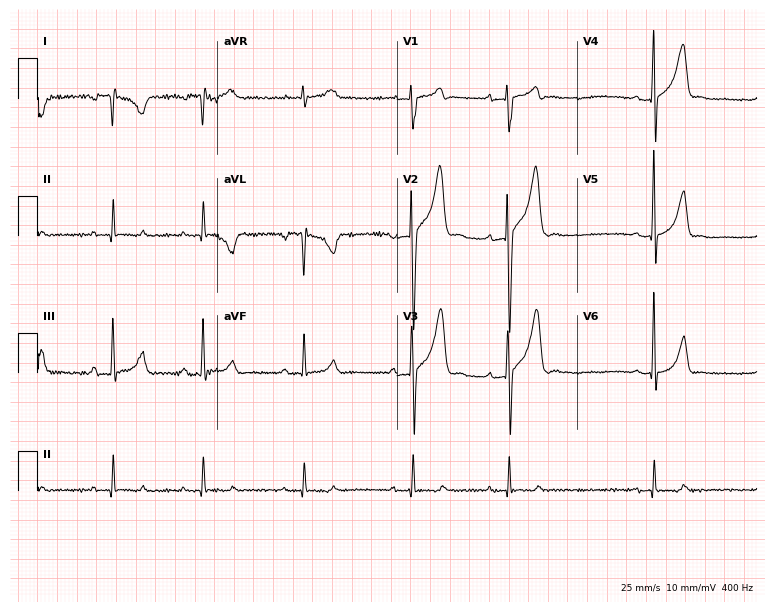
Electrocardiogram, a male patient, 29 years old. Of the six screened findings (first-degree AV block, right bundle branch block, left bundle branch block, sinus bradycardia, atrial fibrillation, sinus tachycardia), none is recorded. Only these six findings were labelled.